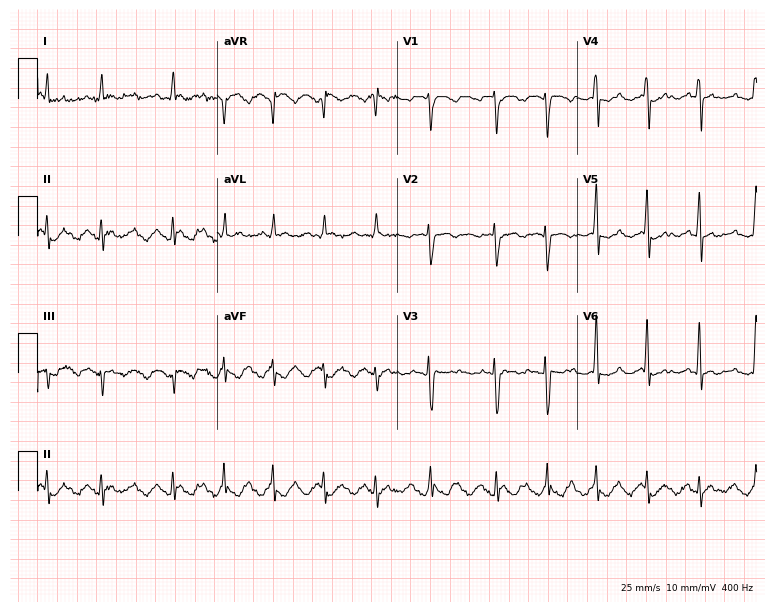
Resting 12-lead electrocardiogram. Patient: a female, 68 years old. The tracing shows atrial fibrillation.